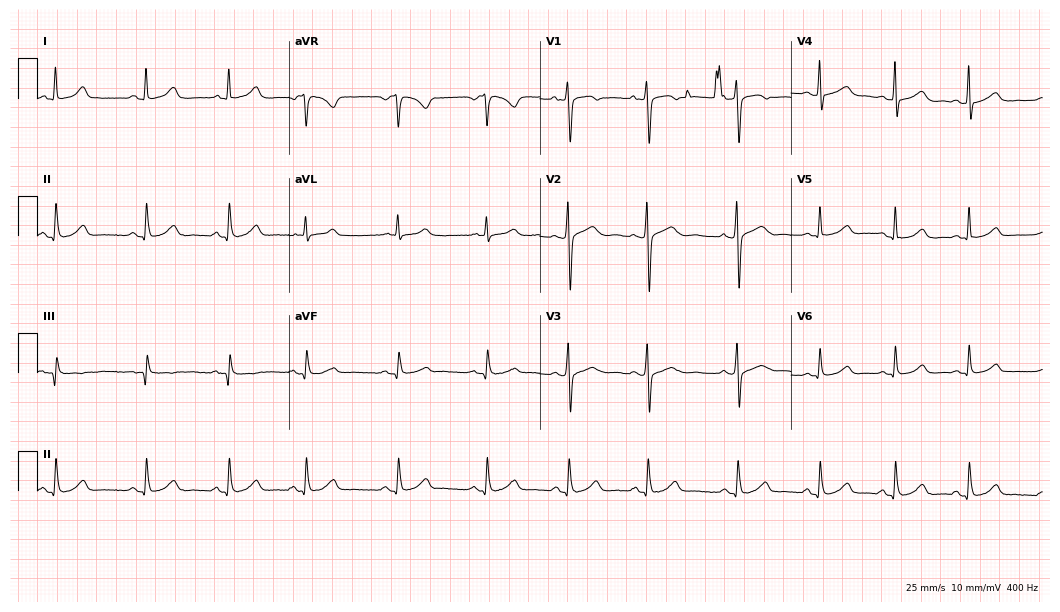
12-lead ECG (10.2-second recording at 400 Hz) from a 27-year-old female. Screened for six findings — first-degree AV block, right bundle branch block (RBBB), left bundle branch block (LBBB), sinus bradycardia, atrial fibrillation (AF), sinus tachycardia — none is recorded. Only these six findings were labelled.